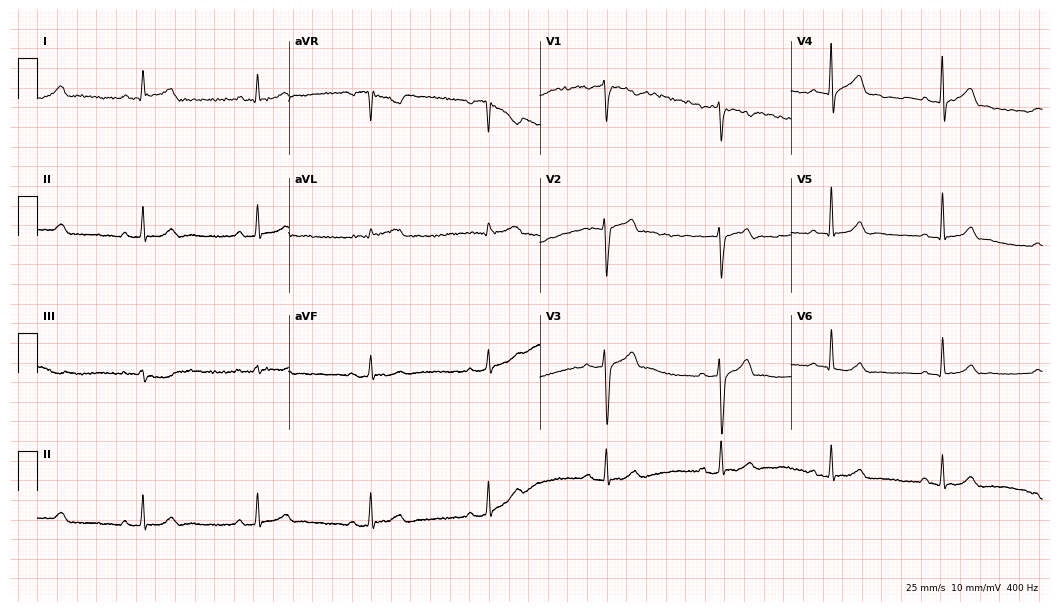
12-lead ECG (10.2-second recording at 400 Hz) from a 37-year-old man. Labelled as a normal ECG.